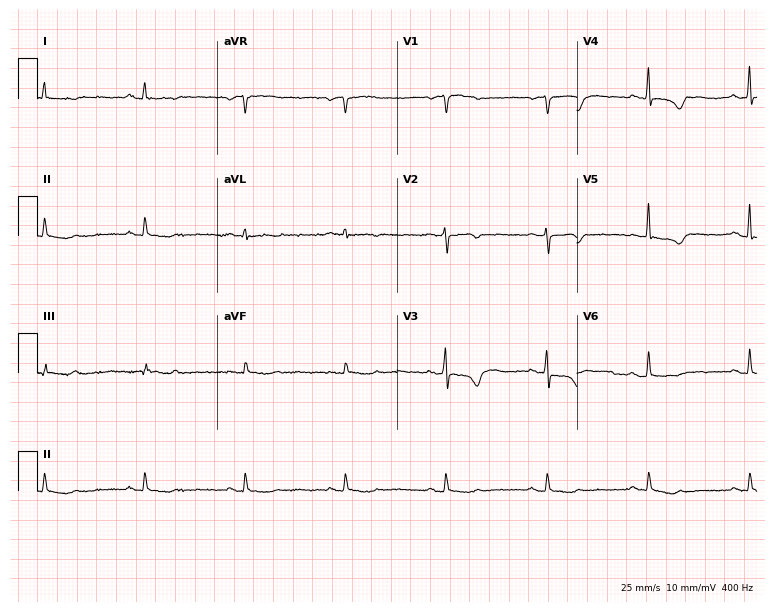
Resting 12-lead electrocardiogram (7.3-second recording at 400 Hz). Patient: a woman, 72 years old. None of these six findings is recorded: first-degree AV block, right bundle branch block, left bundle branch block, sinus bradycardia, atrial fibrillation, sinus tachycardia.